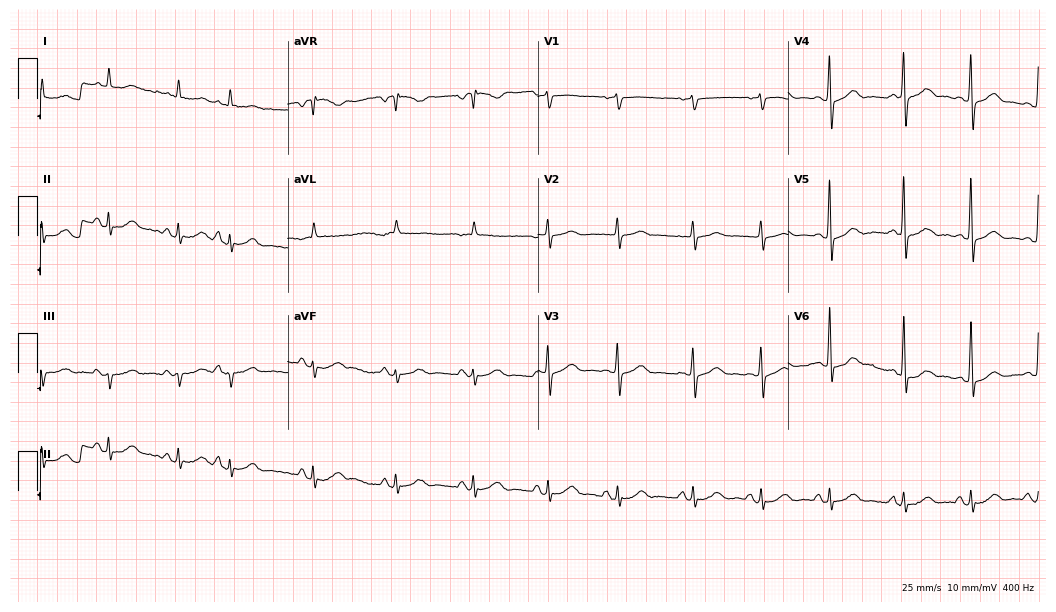
12-lead ECG (10.2-second recording at 400 Hz) from an 84-year-old male. Screened for six findings — first-degree AV block, right bundle branch block, left bundle branch block, sinus bradycardia, atrial fibrillation, sinus tachycardia — none is recorded. Only these six findings were labelled.